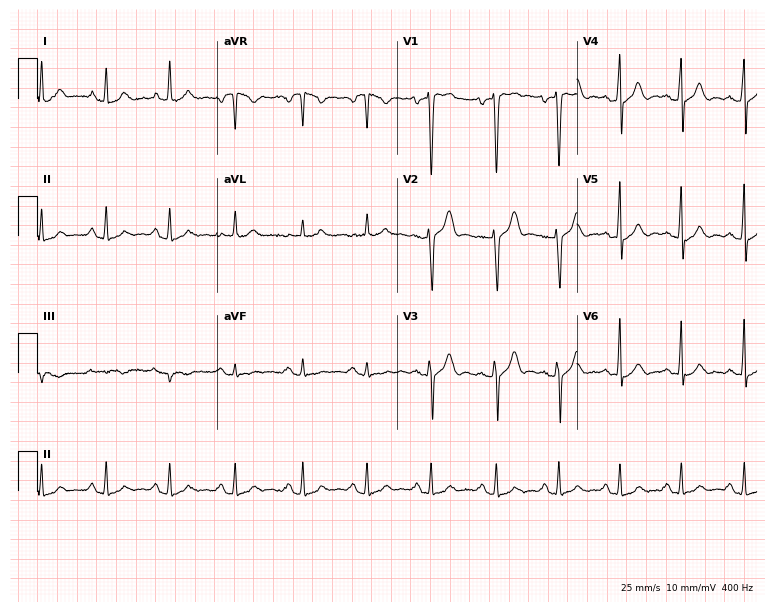
12-lead ECG from a 45-year-old male. Recorded interpretation: within normal limits.